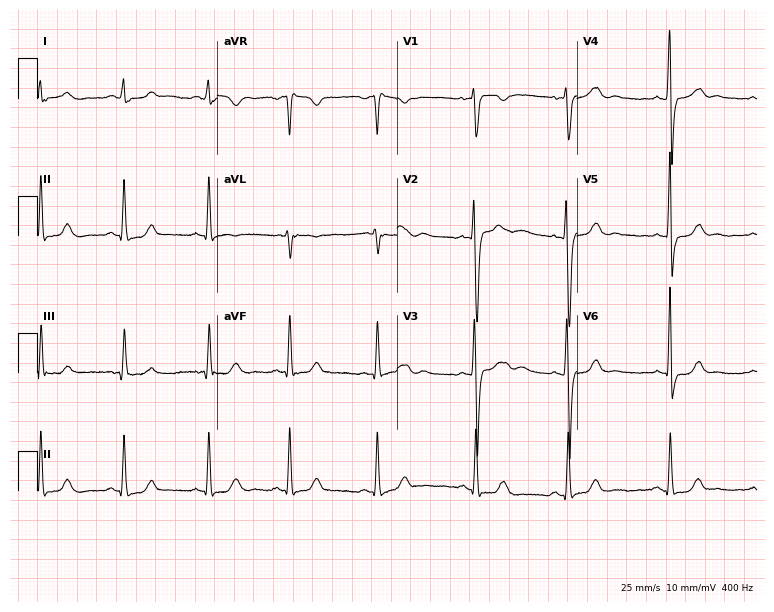
Resting 12-lead electrocardiogram (7.3-second recording at 400 Hz). Patient: a woman, 21 years old. None of these six findings is recorded: first-degree AV block, right bundle branch block, left bundle branch block, sinus bradycardia, atrial fibrillation, sinus tachycardia. Only these six findings were labelled.